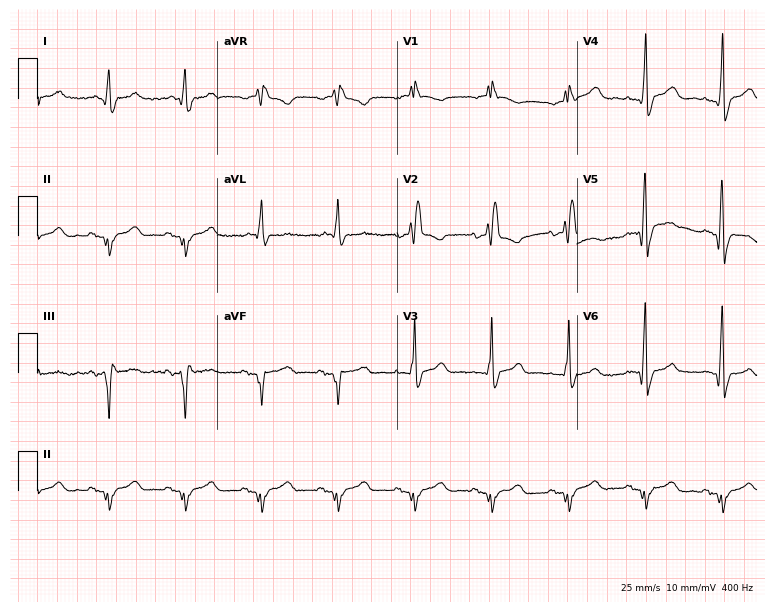
12-lead ECG (7.3-second recording at 400 Hz) from a 65-year-old male. Screened for six findings — first-degree AV block, right bundle branch block, left bundle branch block, sinus bradycardia, atrial fibrillation, sinus tachycardia — none is recorded. Only these six findings were labelled.